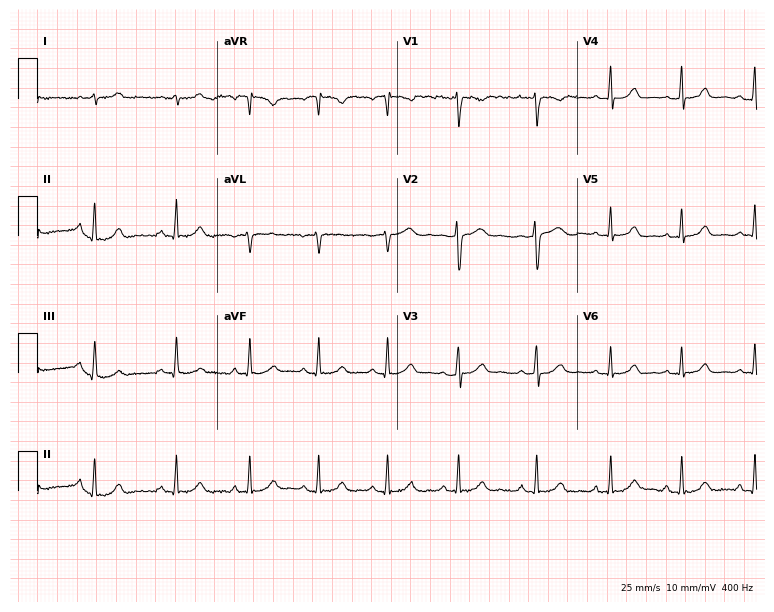
Resting 12-lead electrocardiogram (7.3-second recording at 400 Hz). Patient: a female, 28 years old. None of these six findings is recorded: first-degree AV block, right bundle branch block, left bundle branch block, sinus bradycardia, atrial fibrillation, sinus tachycardia.